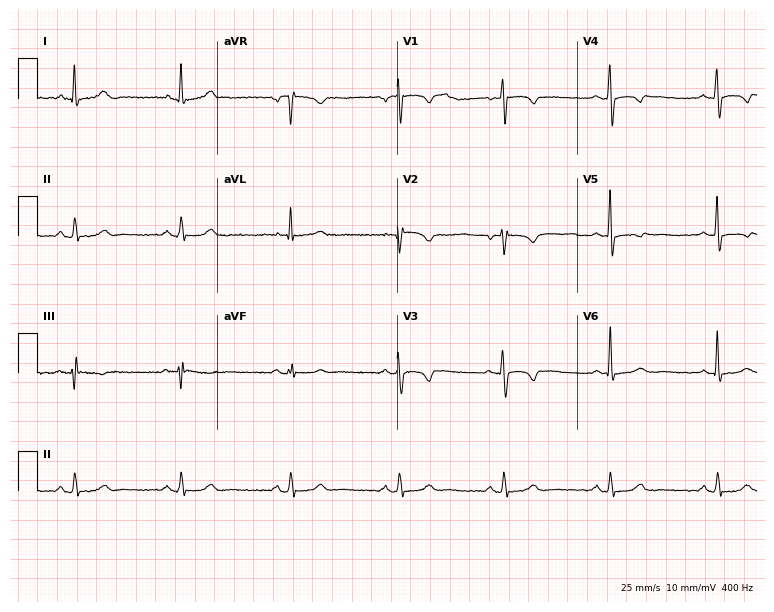
12-lead ECG from a 54-year-old woman. Screened for six findings — first-degree AV block, right bundle branch block, left bundle branch block, sinus bradycardia, atrial fibrillation, sinus tachycardia — none is recorded.